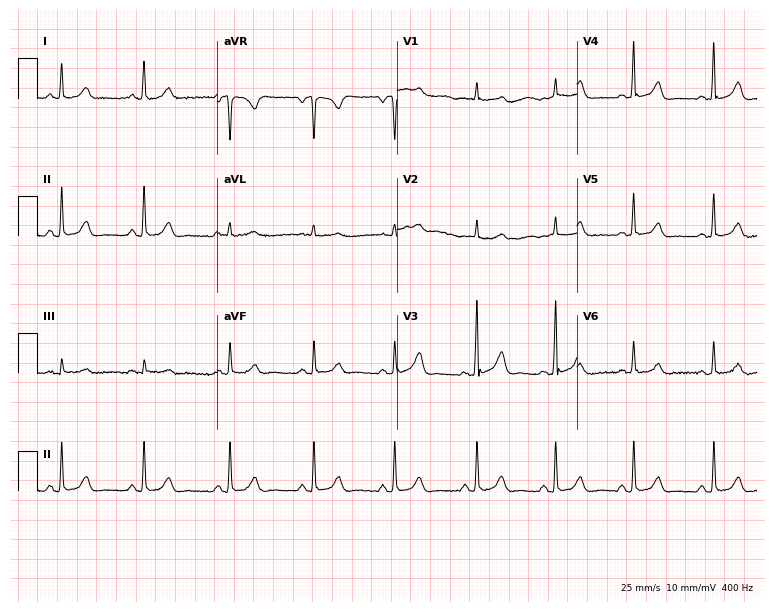
12-lead ECG from a woman, 32 years old. Labelled as a normal ECG.